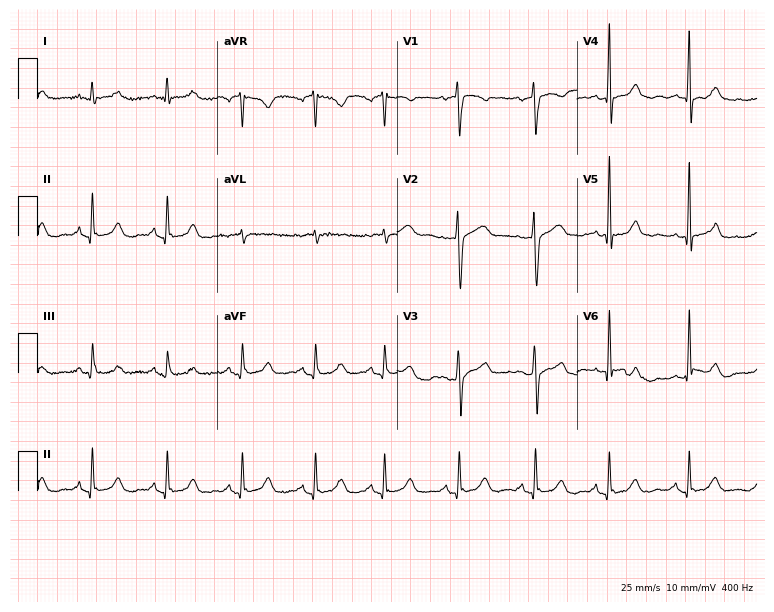
12-lead ECG from a 41-year-old female patient. Recorded interpretation: within normal limits.